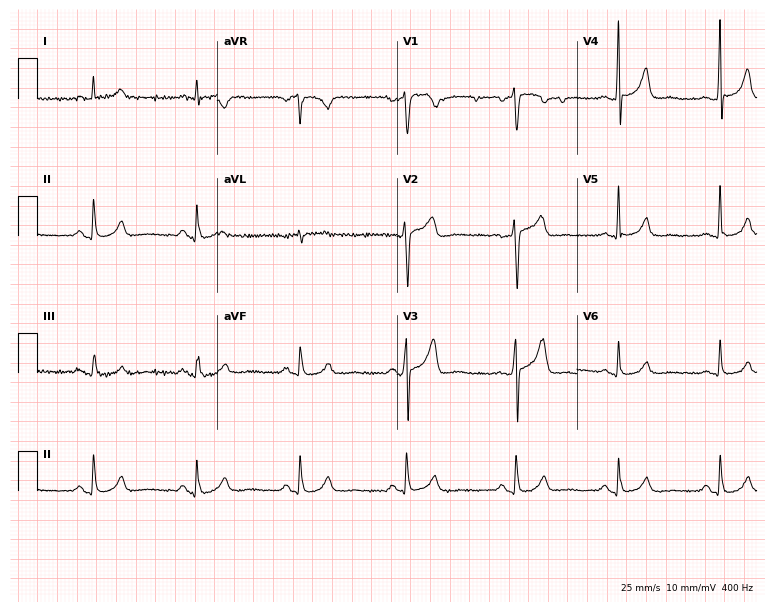
Electrocardiogram (7.3-second recording at 400 Hz), a male patient, 48 years old. Overall reading on record: normal ECG.